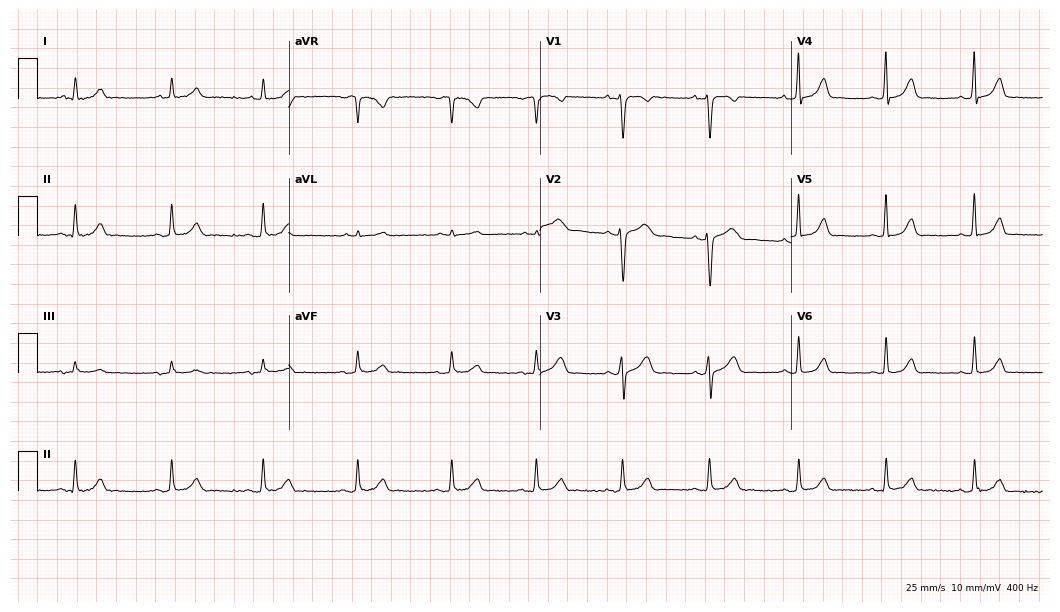
12-lead ECG from a woman, 24 years old. Labelled as a normal ECG.